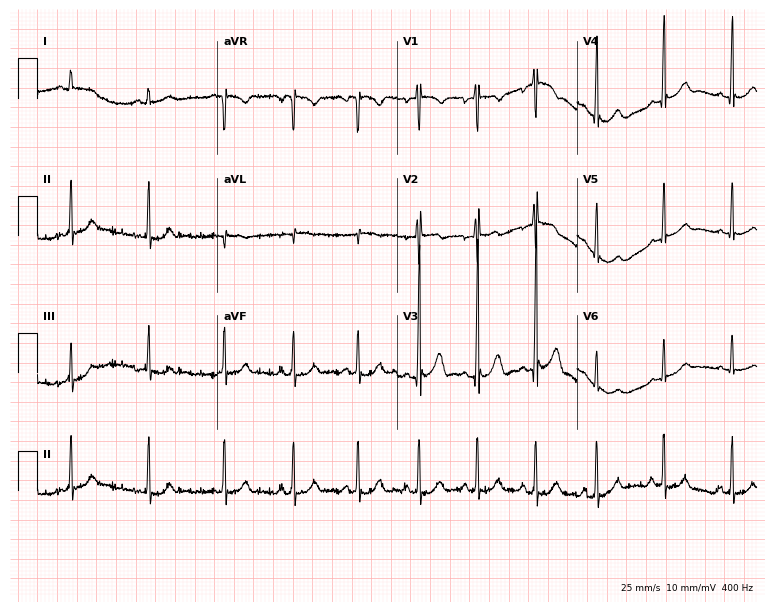
Electrocardiogram (7.3-second recording at 400 Hz), a man, 20 years old. Overall reading on record: normal ECG.